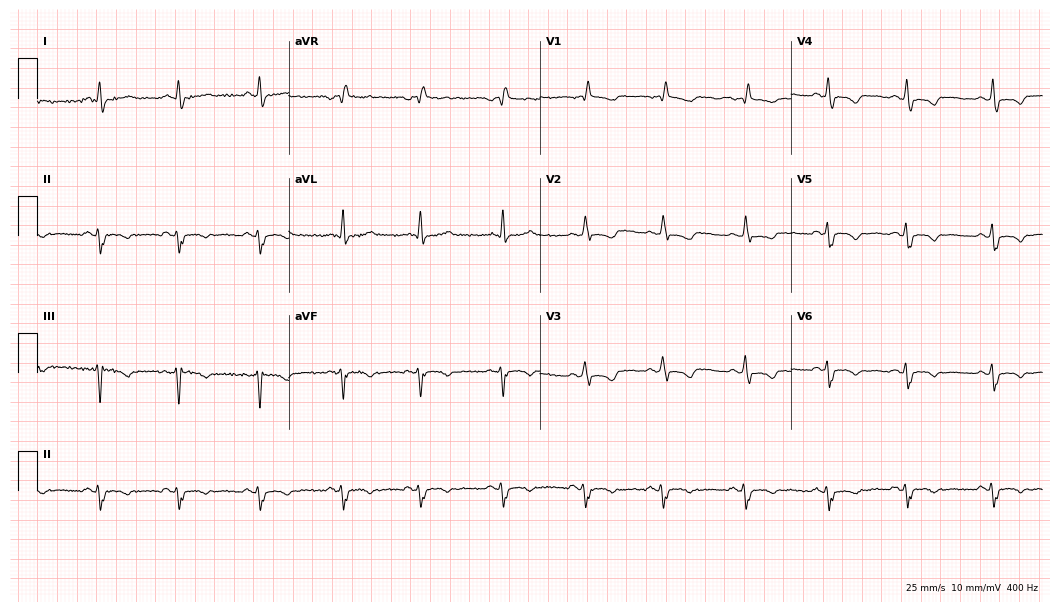
12-lead ECG (10.2-second recording at 400 Hz) from a 63-year-old male patient. Screened for six findings — first-degree AV block, right bundle branch block (RBBB), left bundle branch block (LBBB), sinus bradycardia, atrial fibrillation (AF), sinus tachycardia — none is recorded. Other findings, if any, are not listed.